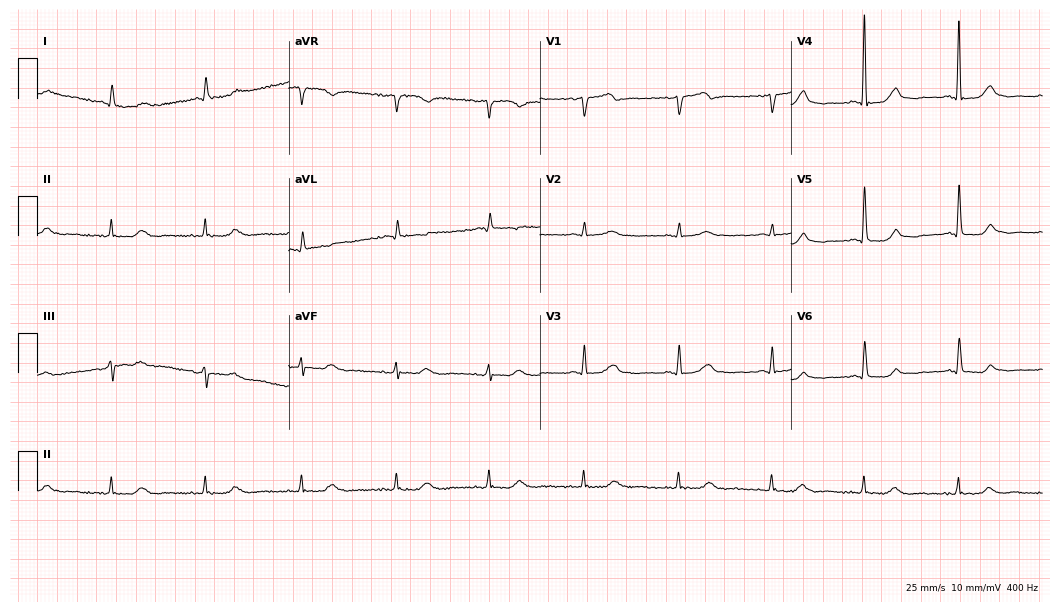
ECG — a female, 61 years old. Screened for six findings — first-degree AV block, right bundle branch block (RBBB), left bundle branch block (LBBB), sinus bradycardia, atrial fibrillation (AF), sinus tachycardia — none is recorded.